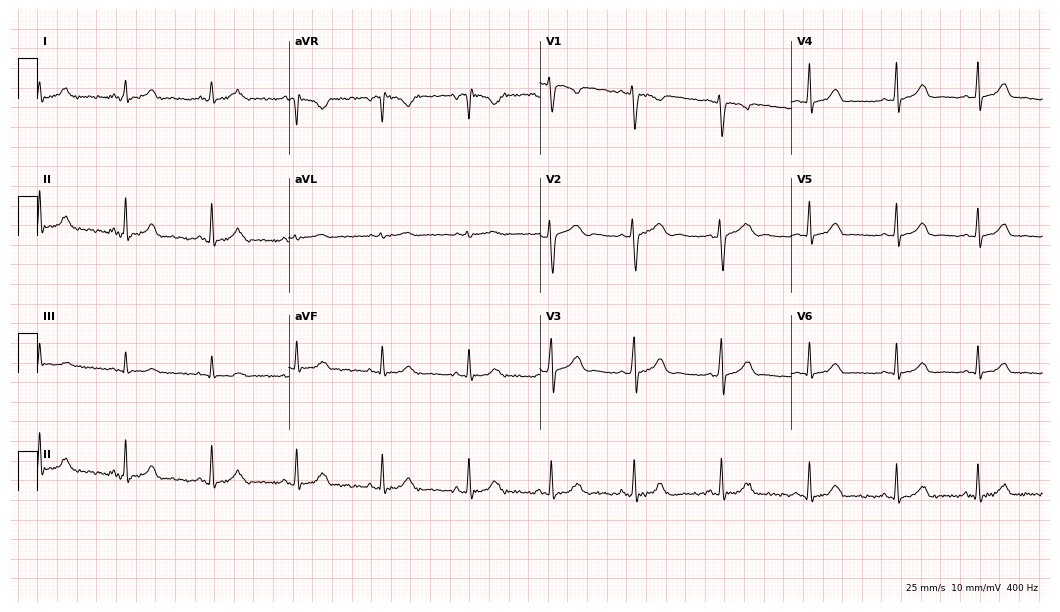
Electrocardiogram (10.2-second recording at 400 Hz), a woman, 25 years old. Overall reading on record: normal ECG.